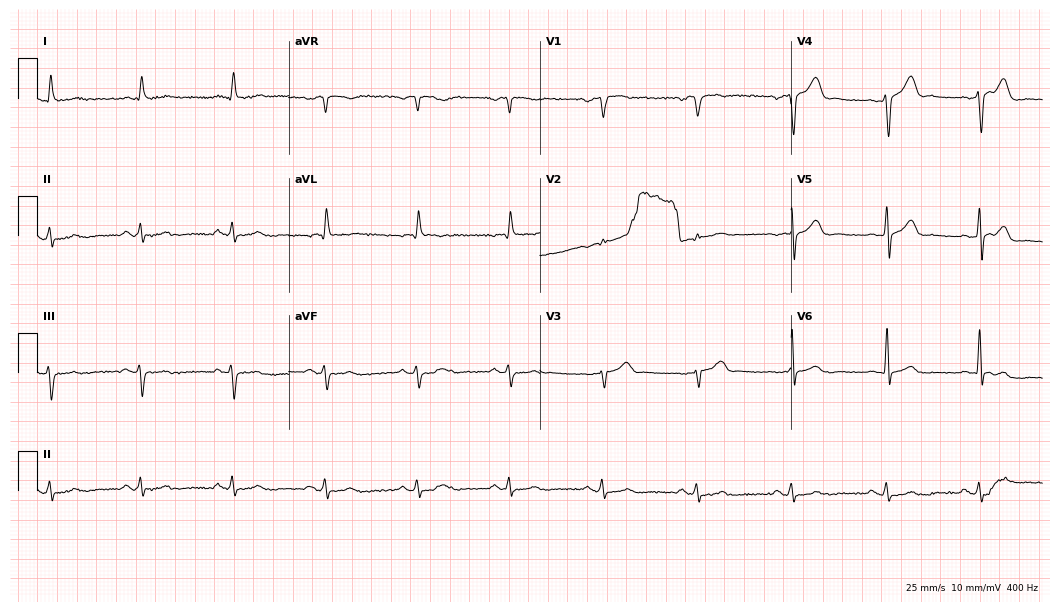
Resting 12-lead electrocardiogram. Patient: a male, 84 years old. None of these six findings is recorded: first-degree AV block, right bundle branch block, left bundle branch block, sinus bradycardia, atrial fibrillation, sinus tachycardia.